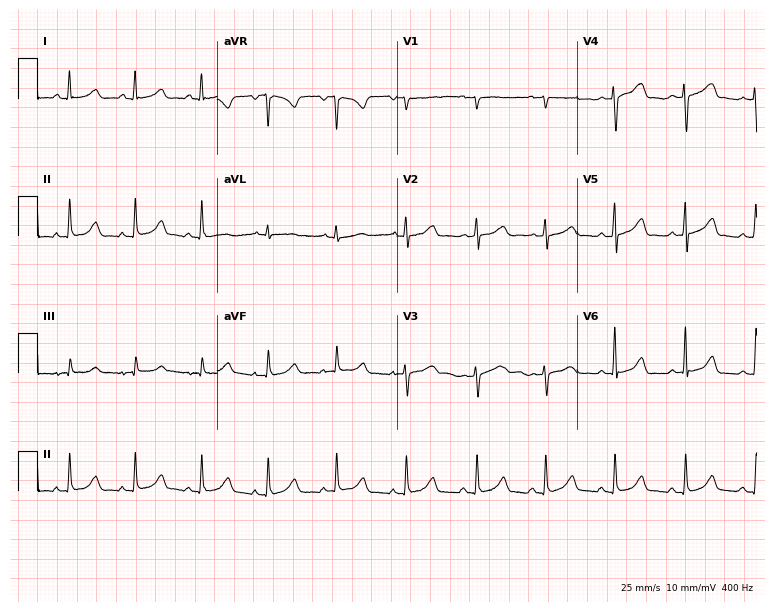
Electrocardiogram (7.3-second recording at 400 Hz), a 33-year-old woman. Of the six screened findings (first-degree AV block, right bundle branch block (RBBB), left bundle branch block (LBBB), sinus bradycardia, atrial fibrillation (AF), sinus tachycardia), none is recorded.